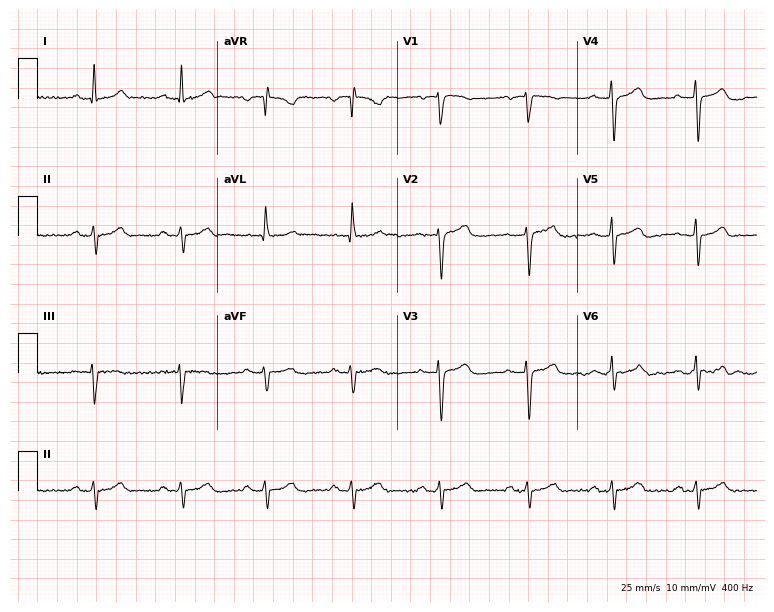
Resting 12-lead electrocardiogram. Patient: a 58-year-old female. None of these six findings is recorded: first-degree AV block, right bundle branch block, left bundle branch block, sinus bradycardia, atrial fibrillation, sinus tachycardia.